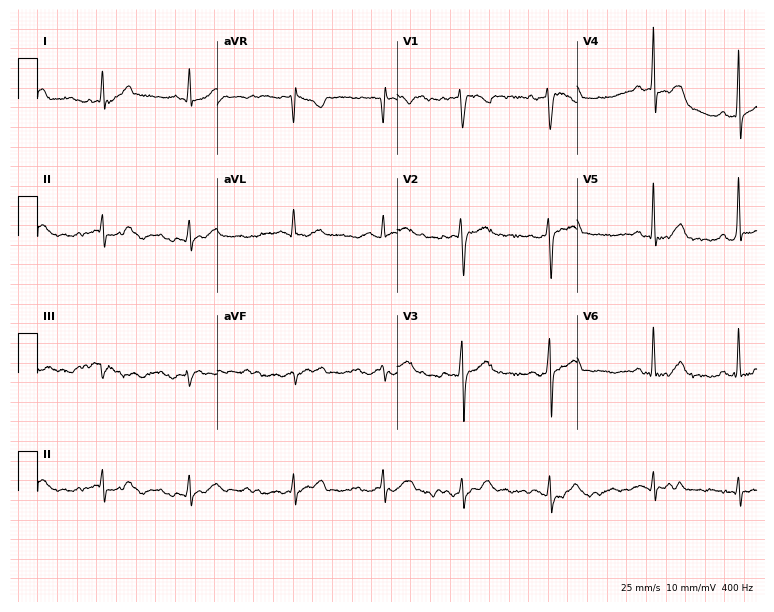
Standard 12-lead ECG recorded from a 24-year-old man (7.3-second recording at 400 Hz). Read as a normal ECG.